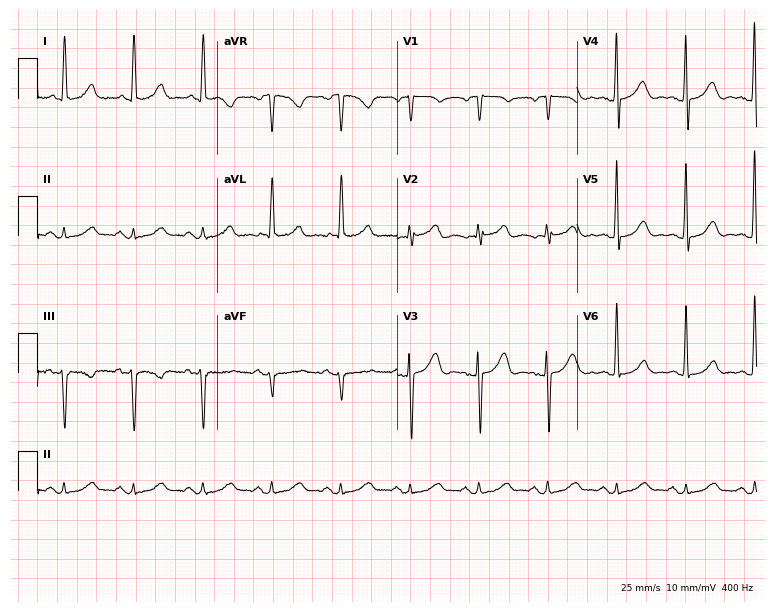
ECG (7.3-second recording at 400 Hz) — a woman, 74 years old. Labelled as a normal ECG.